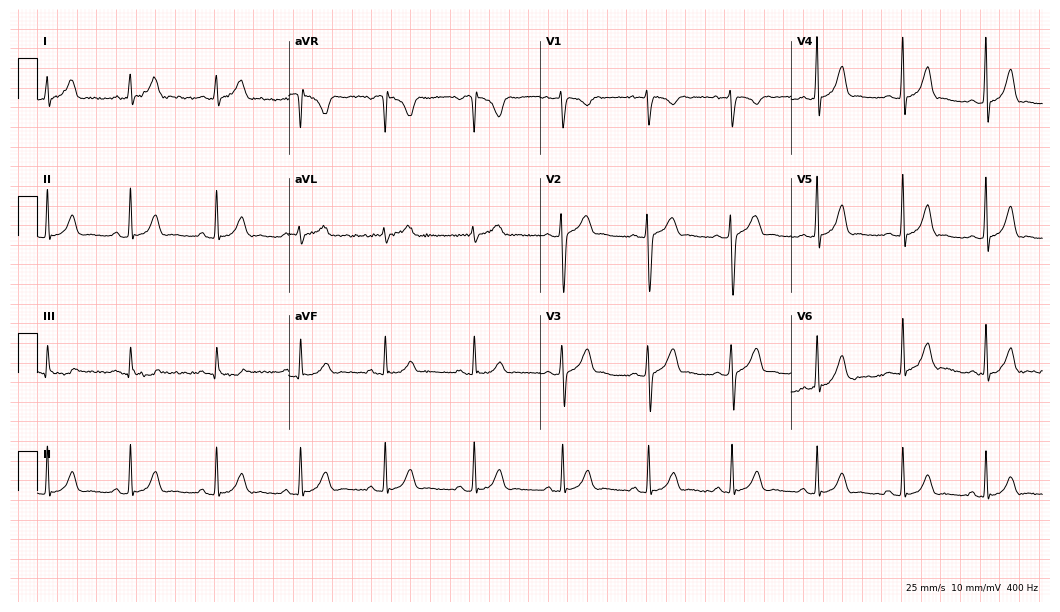
ECG — a female patient, 26 years old. Labelled as a normal ECG.